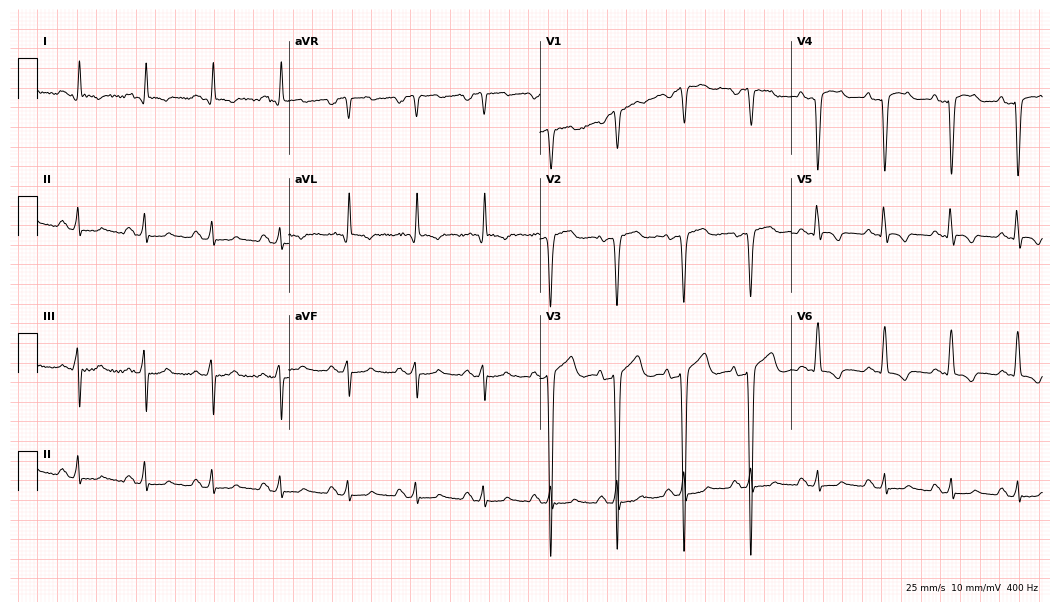
Resting 12-lead electrocardiogram. Patient: a man, 46 years old. None of these six findings is recorded: first-degree AV block, right bundle branch block, left bundle branch block, sinus bradycardia, atrial fibrillation, sinus tachycardia. Other findings, if any, are not listed.